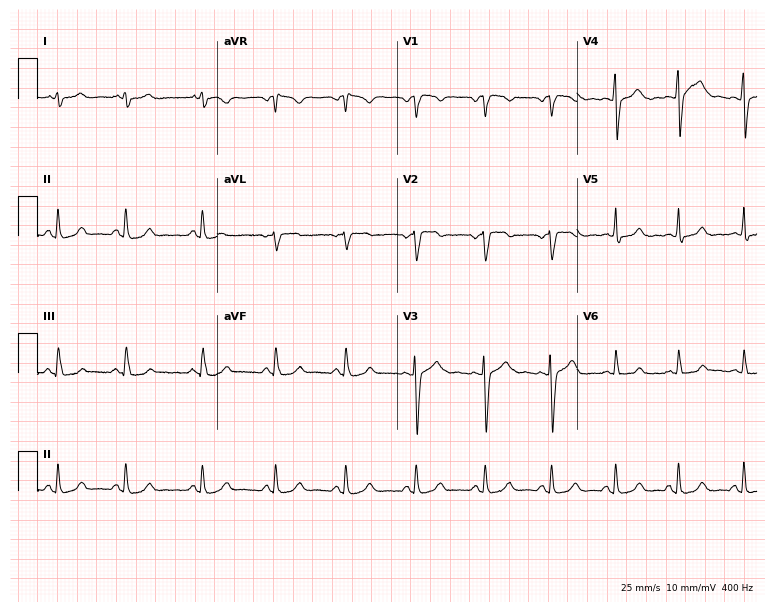
ECG (7.3-second recording at 400 Hz) — a 26-year-old female patient. Screened for six findings — first-degree AV block, right bundle branch block (RBBB), left bundle branch block (LBBB), sinus bradycardia, atrial fibrillation (AF), sinus tachycardia — none is recorded. Other findings, if any, are not listed.